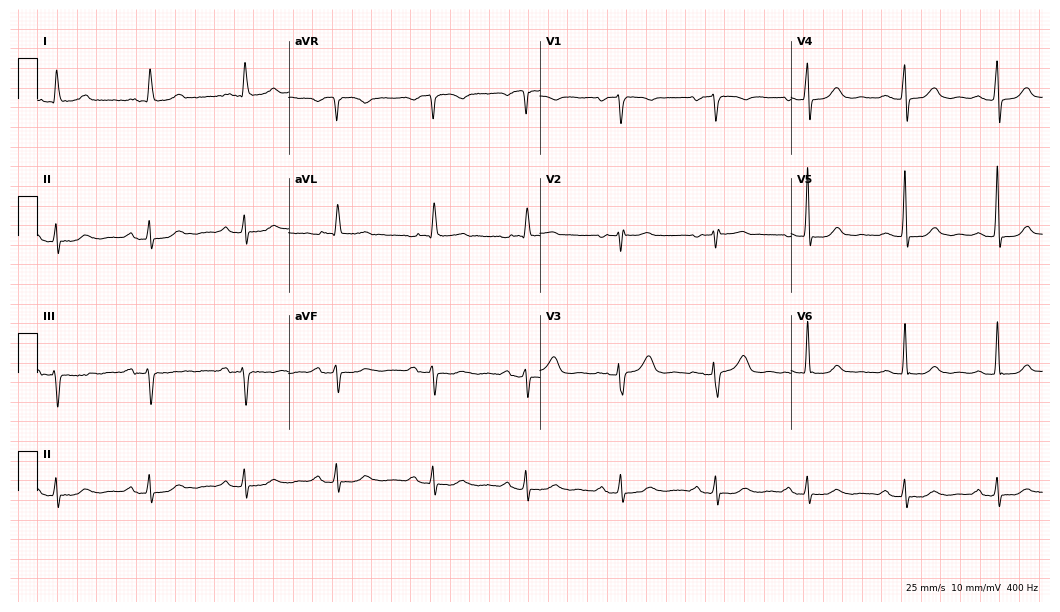
12-lead ECG (10.2-second recording at 400 Hz) from a female patient, 73 years old. Findings include first-degree AV block.